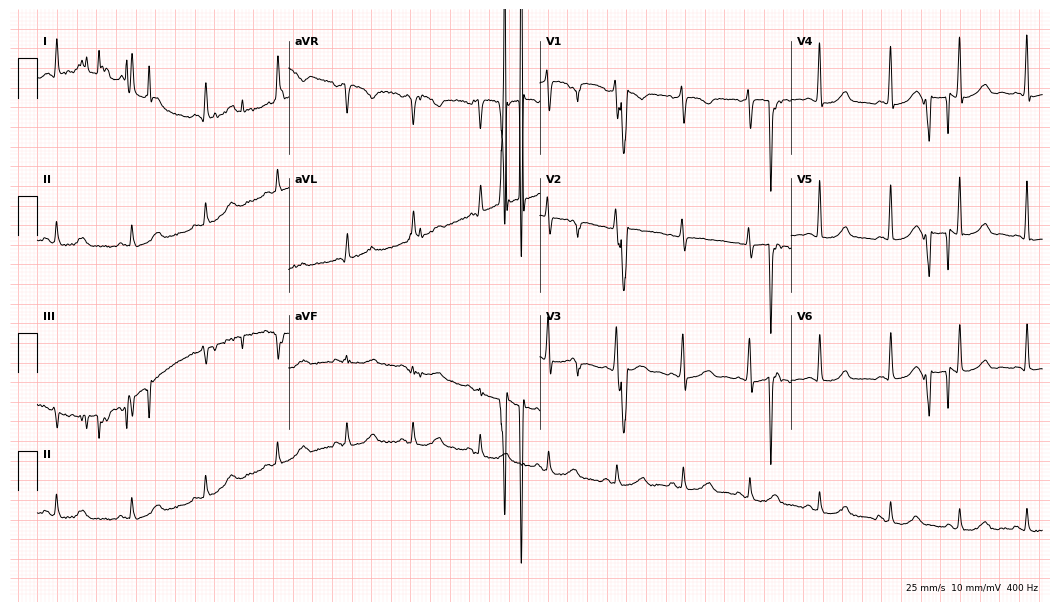
Resting 12-lead electrocardiogram (10.2-second recording at 400 Hz). Patient: a female, 50 years old. Read as a normal ECG.